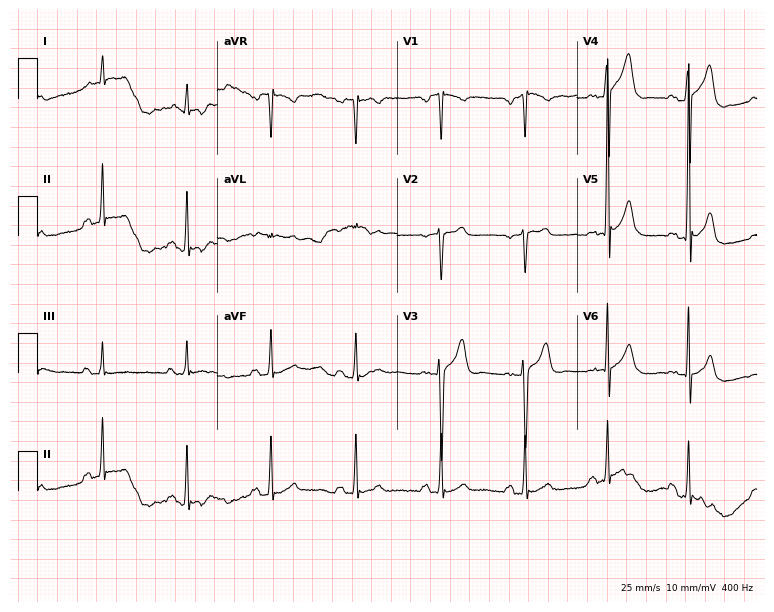
Electrocardiogram, a man, 21 years old. Overall reading on record: normal ECG.